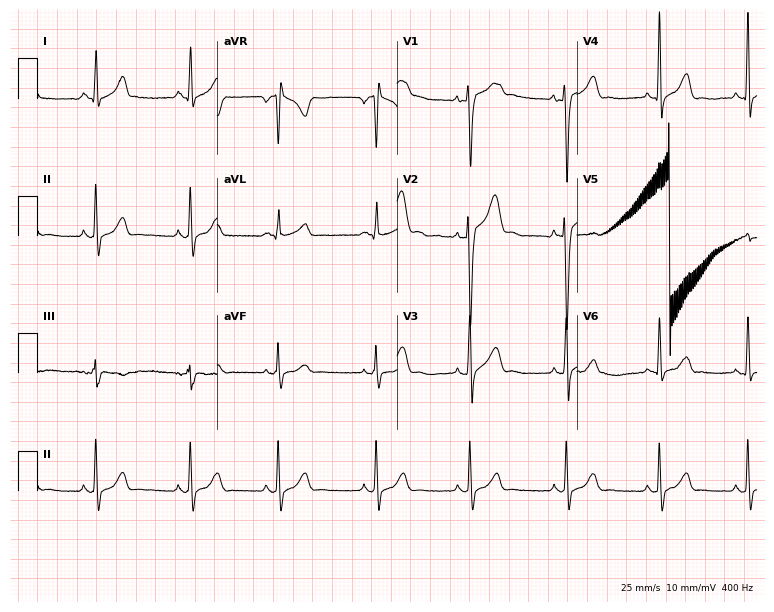
12-lead ECG from a man, 18 years old. Labelled as a normal ECG.